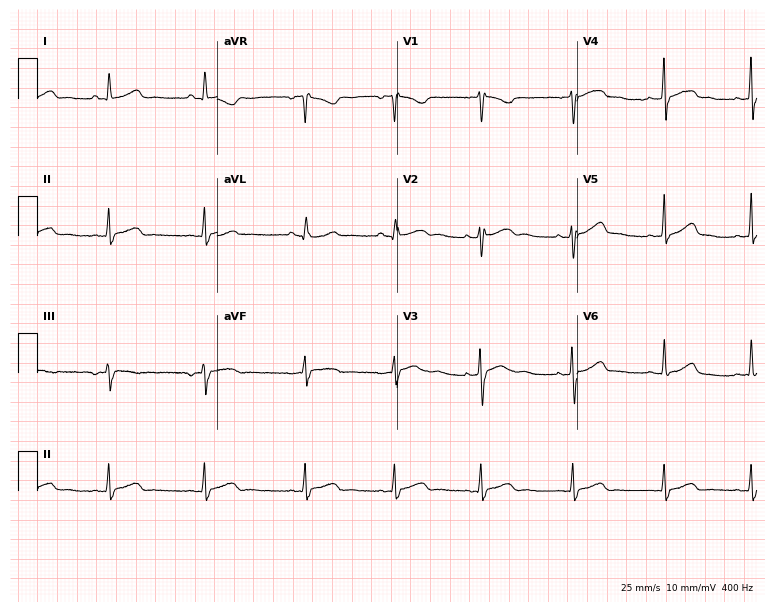
12-lead ECG from a 22-year-old female patient. Recorded interpretation: within normal limits.